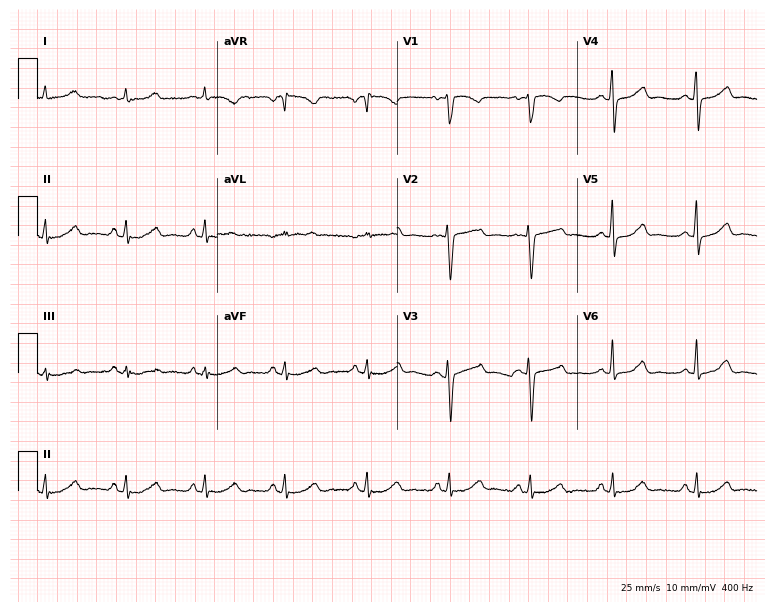
12-lead ECG from a female patient, 44 years old. Labelled as a normal ECG.